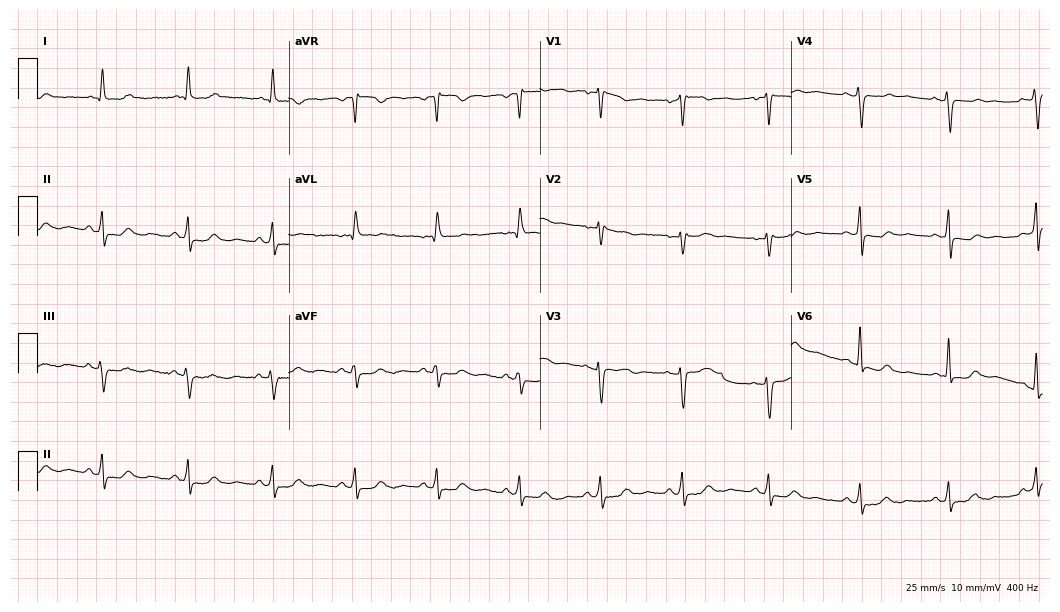
Standard 12-lead ECG recorded from a female, 51 years old. None of these six findings is recorded: first-degree AV block, right bundle branch block, left bundle branch block, sinus bradycardia, atrial fibrillation, sinus tachycardia. Other findings, if any, are not listed.